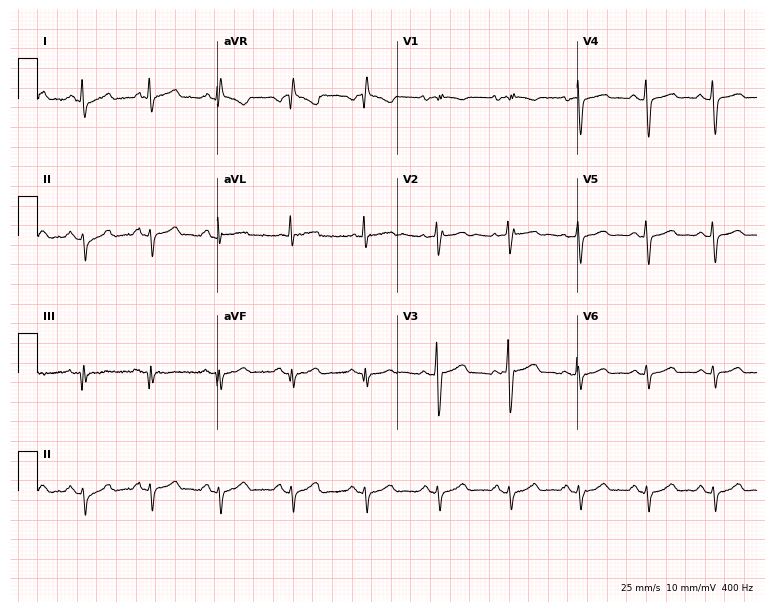
ECG — a 62-year-old female. Screened for six findings — first-degree AV block, right bundle branch block, left bundle branch block, sinus bradycardia, atrial fibrillation, sinus tachycardia — none is recorded.